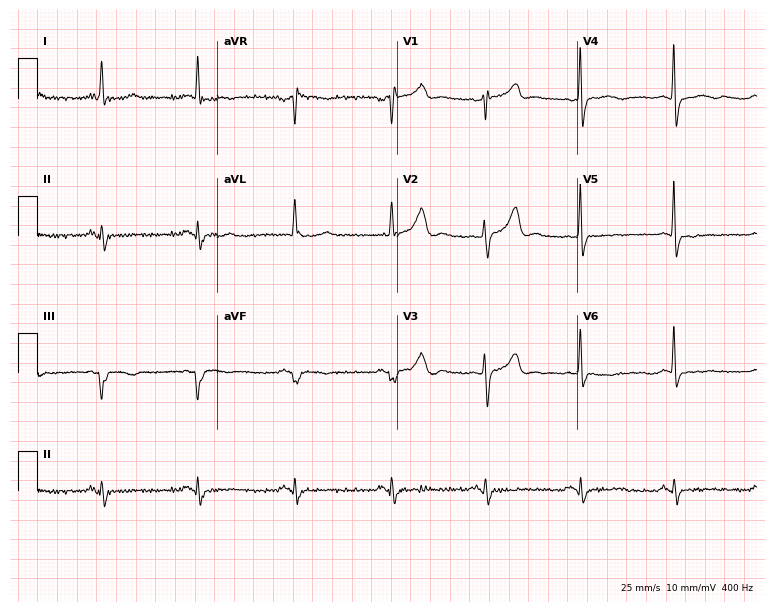
12-lead ECG (7.3-second recording at 400 Hz) from a male patient, 51 years old. Screened for six findings — first-degree AV block, right bundle branch block, left bundle branch block, sinus bradycardia, atrial fibrillation, sinus tachycardia — none is recorded.